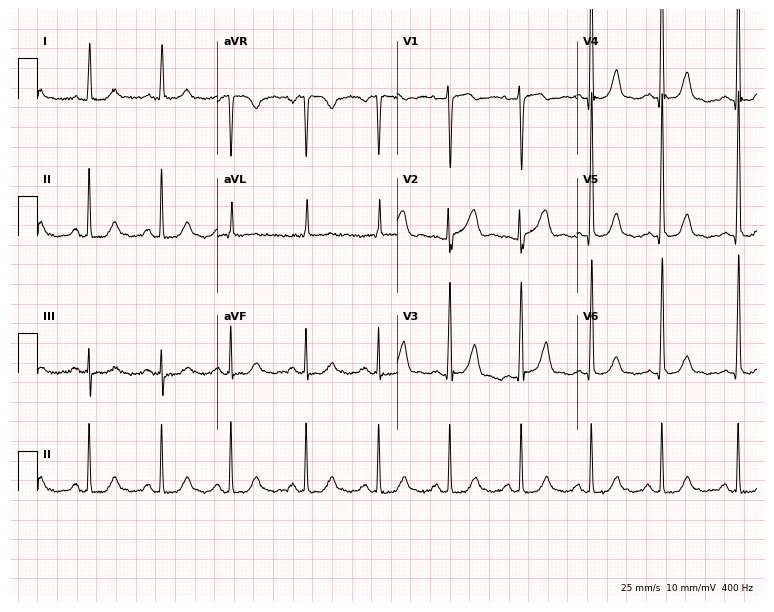
Electrocardiogram (7.3-second recording at 400 Hz), a female patient, 82 years old. Of the six screened findings (first-degree AV block, right bundle branch block (RBBB), left bundle branch block (LBBB), sinus bradycardia, atrial fibrillation (AF), sinus tachycardia), none is recorded.